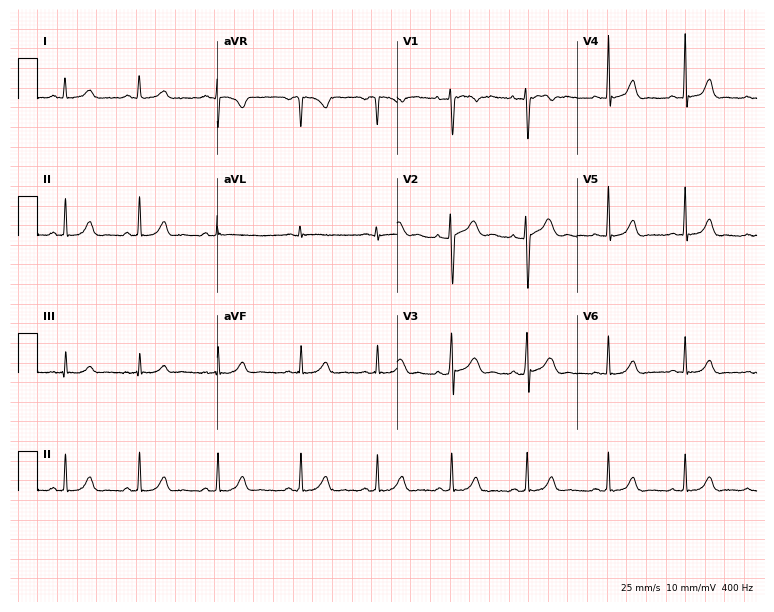
12-lead ECG from a woman, 19 years old. Recorded interpretation: within normal limits.